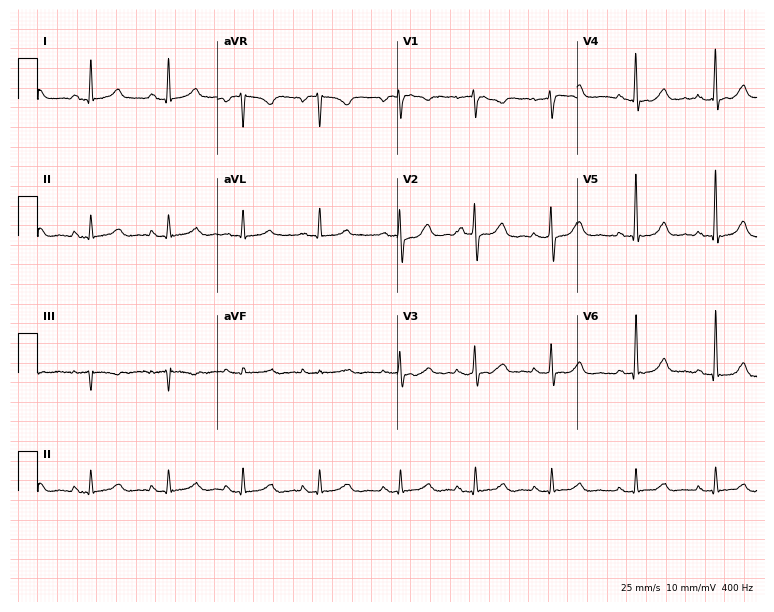
ECG — a 56-year-old female patient. Labelled as a normal ECG.